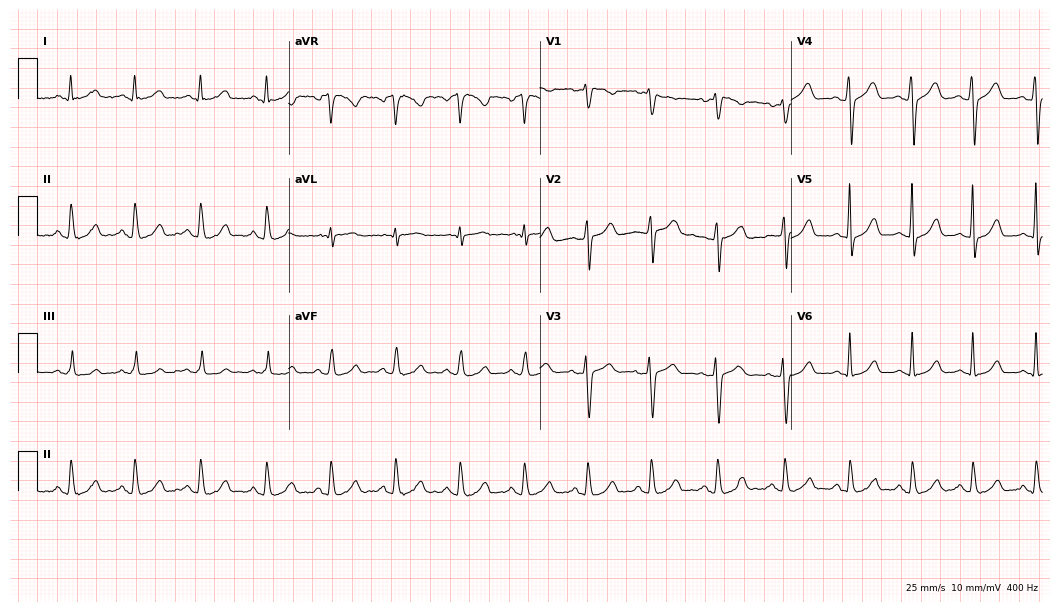
ECG (10.2-second recording at 400 Hz) — a female patient, 34 years old. Screened for six findings — first-degree AV block, right bundle branch block, left bundle branch block, sinus bradycardia, atrial fibrillation, sinus tachycardia — none is recorded. Only these six findings were labelled.